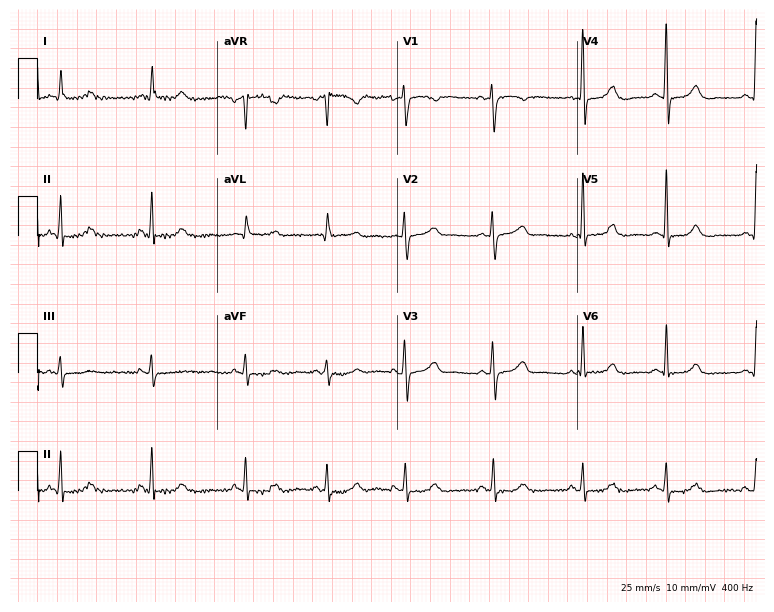
ECG (7.3-second recording at 400 Hz) — a 70-year-old female patient. Labelled as a normal ECG.